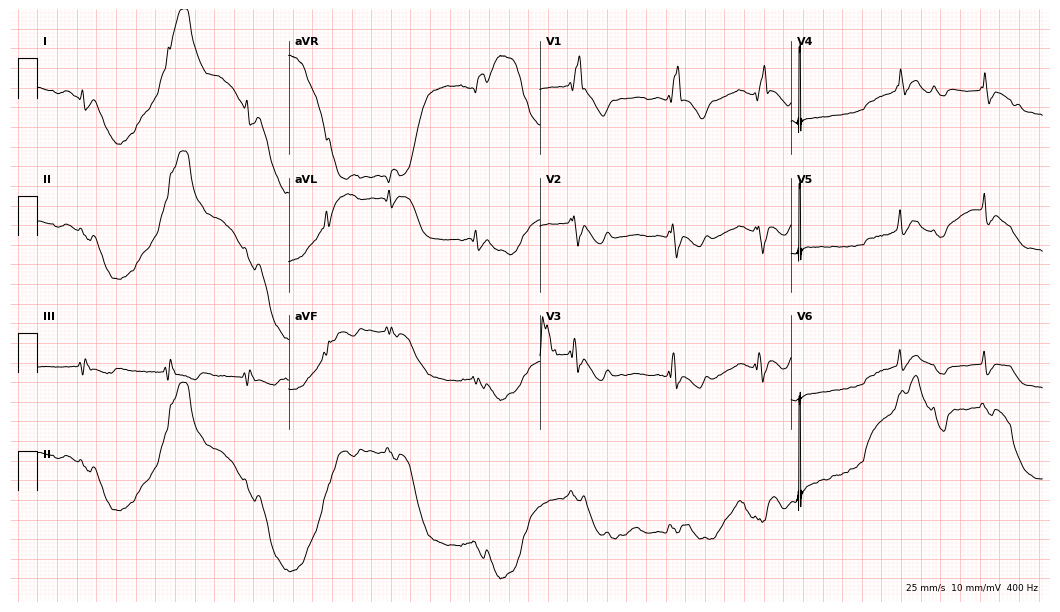
ECG (10.2-second recording at 400 Hz) — a female, 67 years old. Findings include right bundle branch block, atrial fibrillation.